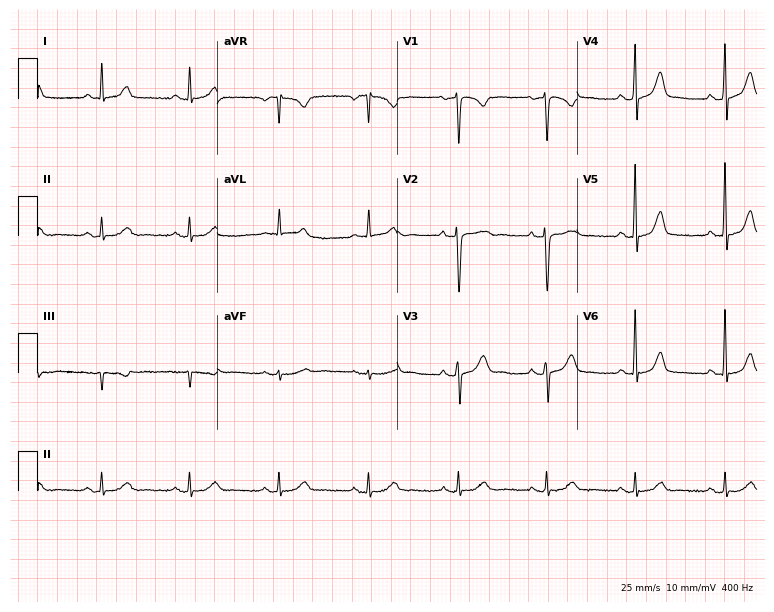
Standard 12-lead ECG recorded from a female, 45 years old (7.3-second recording at 400 Hz). None of these six findings is recorded: first-degree AV block, right bundle branch block, left bundle branch block, sinus bradycardia, atrial fibrillation, sinus tachycardia.